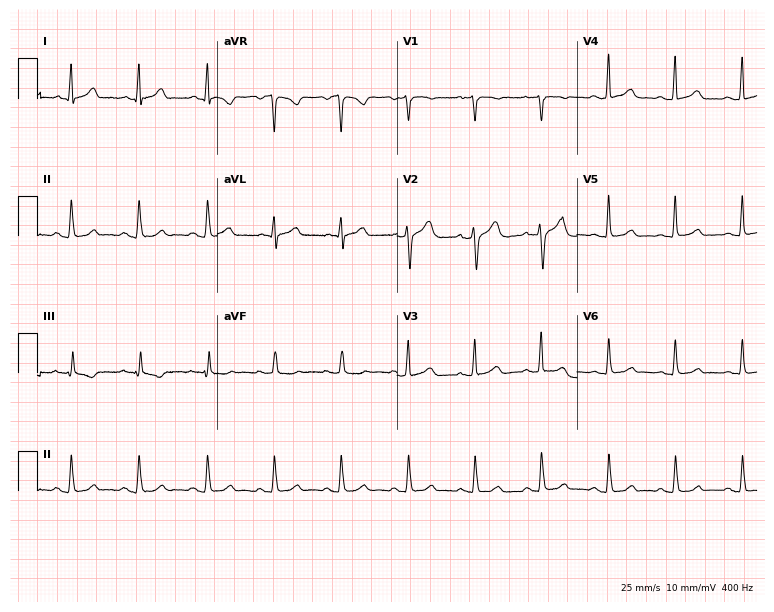
Standard 12-lead ECG recorded from a male, 40 years old. Read as a normal ECG.